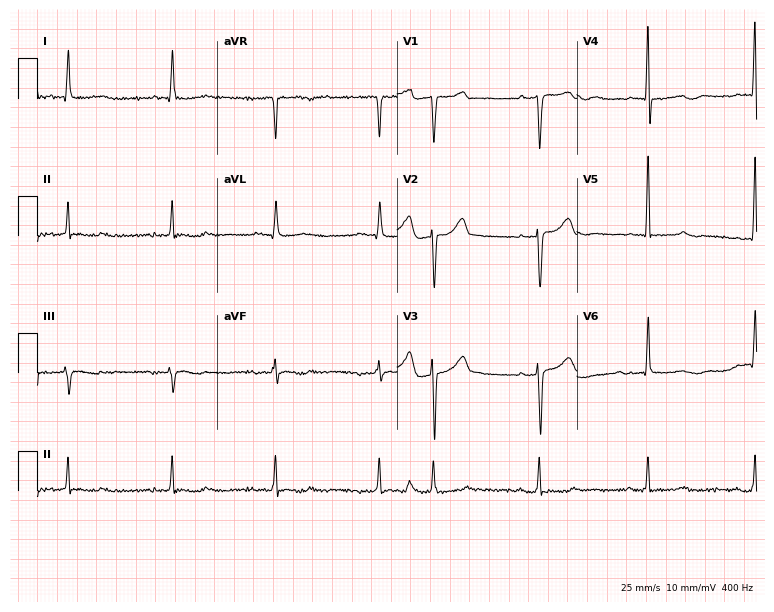
12-lead ECG (7.3-second recording at 400 Hz) from a 73-year-old female patient. Screened for six findings — first-degree AV block, right bundle branch block (RBBB), left bundle branch block (LBBB), sinus bradycardia, atrial fibrillation (AF), sinus tachycardia — none is recorded.